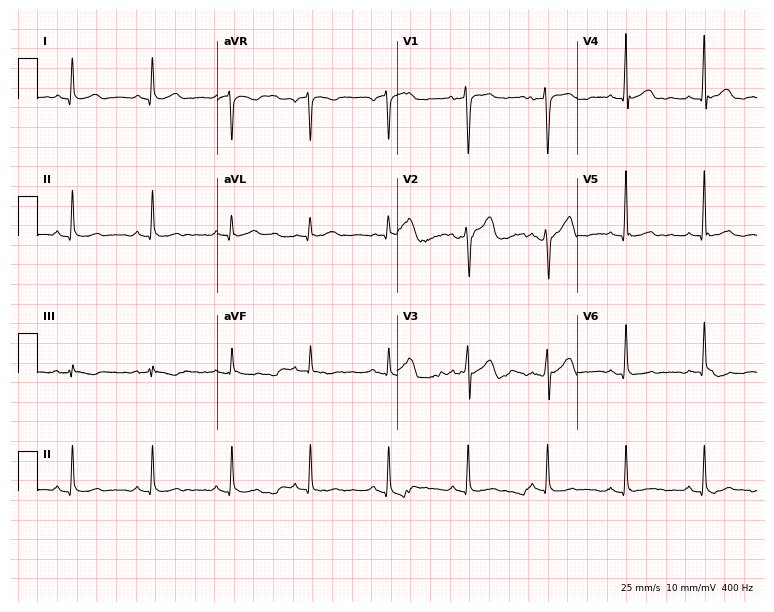
Standard 12-lead ECG recorded from a 49-year-old male (7.3-second recording at 400 Hz). None of these six findings is recorded: first-degree AV block, right bundle branch block, left bundle branch block, sinus bradycardia, atrial fibrillation, sinus tachycardia.